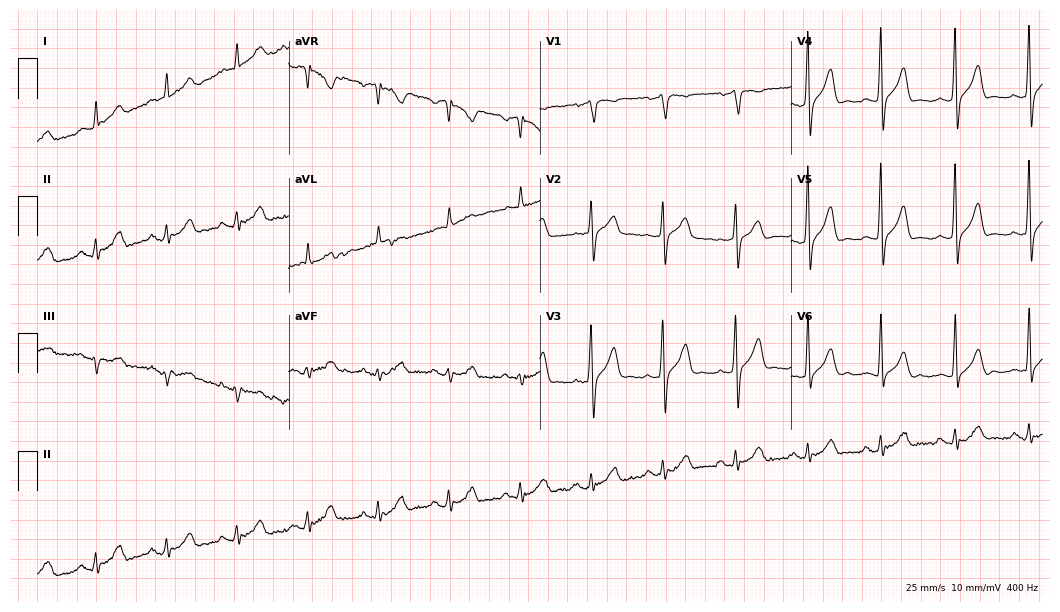
12-lead ECG (10.2-second recording at 400 Hz) from a 62-year-old male patient. Screened for six findings — first-degree AV block, right bundle branch block, left bundle branch block, sinus bradycardia, atrial fibrillation, sinus tachycardia — none is recorded. Only these six findings were labelled.